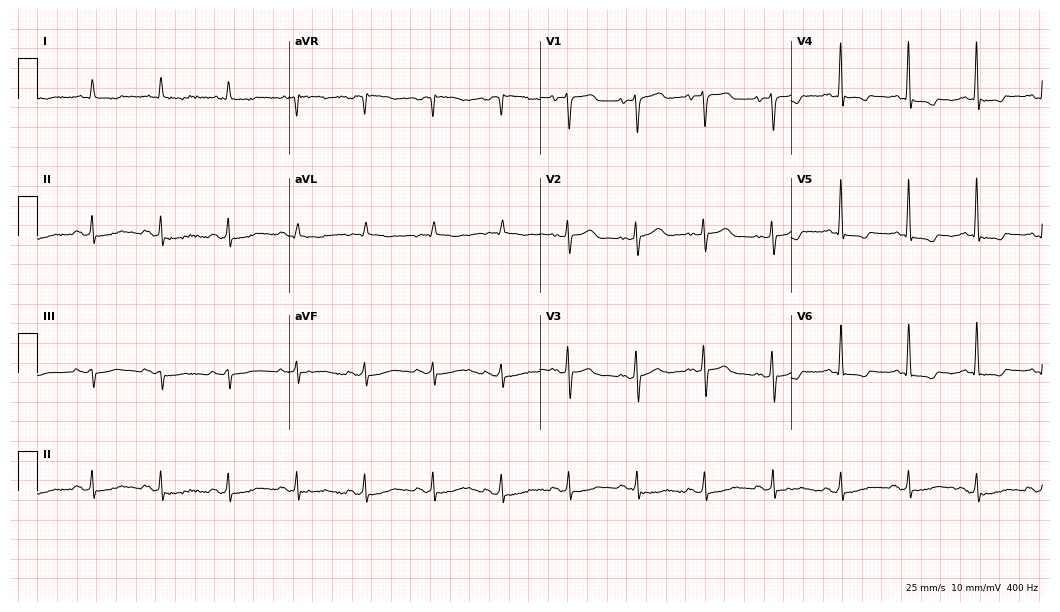
12-lead ECG (10.2-second recording at 400 Hz) from an 82-year-old female. Screened for six findings — first-degree AV block, right bundle branch block, left bundle branch block, sinus bradycardia, atrial fibrillation, sinus tachycardia — none is recorded. Findings outside these six are not listed.